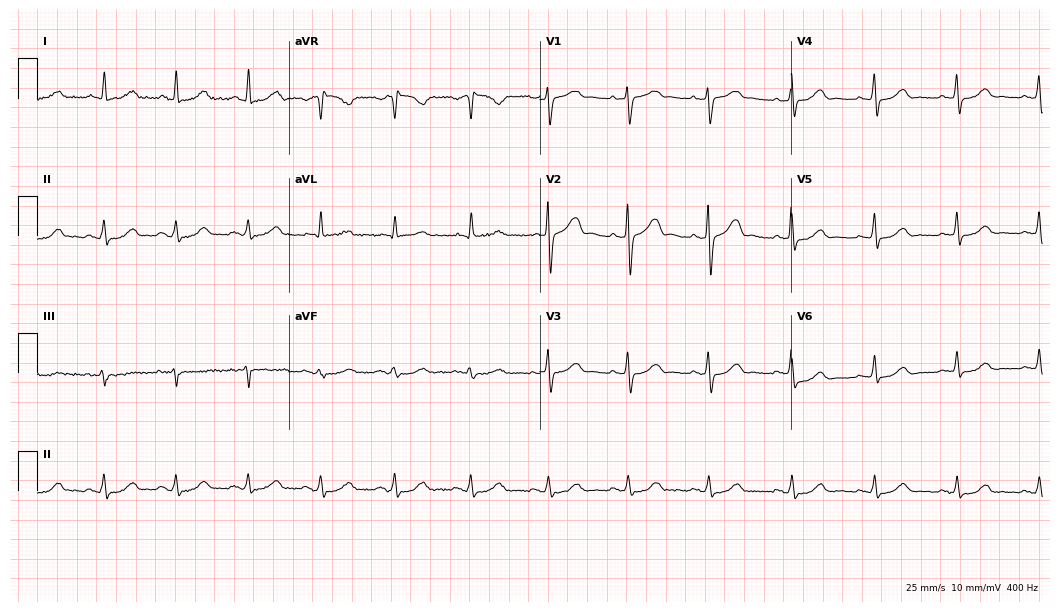
ECG — a female patient, 57 years old. Labelled as a normal ECG.